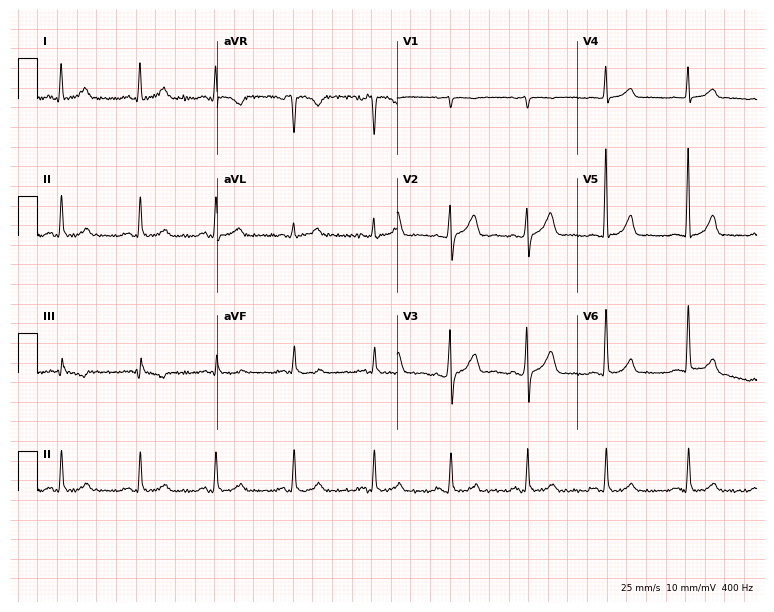
Electrocardiogram (7.3-second recording at 400 Hz), a woman, 46 years old. Overall reading on record: normal ECG.